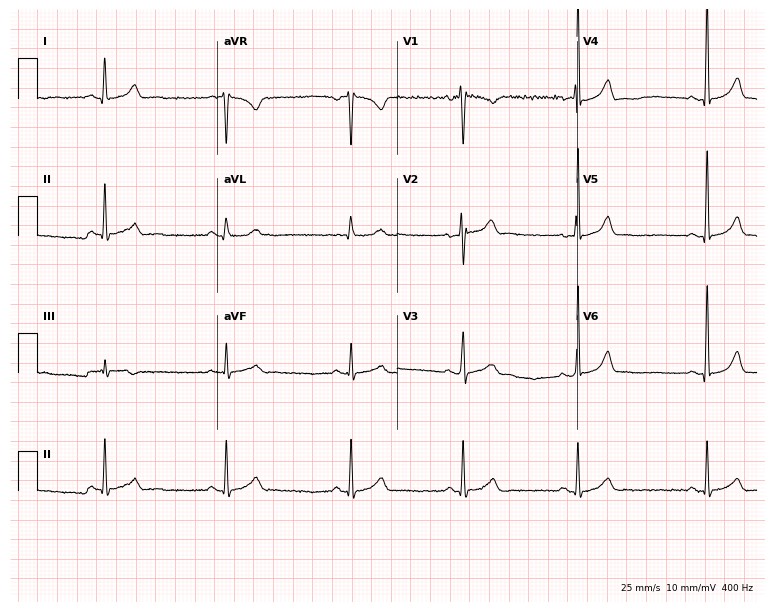
Resting 12-lead electrocardiogram (7.3-second recording at 400 Hz). Patient: a 28-year-old male. Read as a normal ECG.